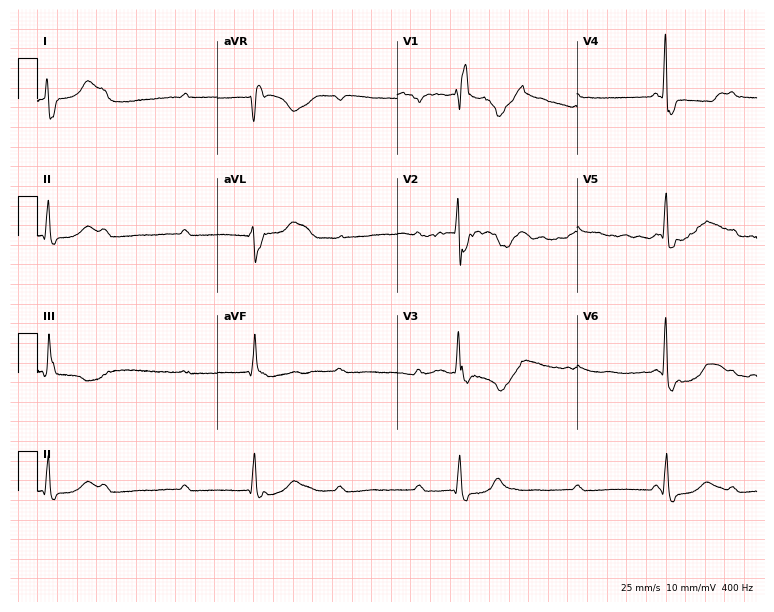
Resting 12-lead electrocardiogram (7.3-second recording at 400 Hz). Patient: an 80-year-old man. None of these six findings is recorded: first-degree AV block, right bundle branch block, left bundle branch block, sinus bradycardia, atrial fibrillation, sinus tachycardia.